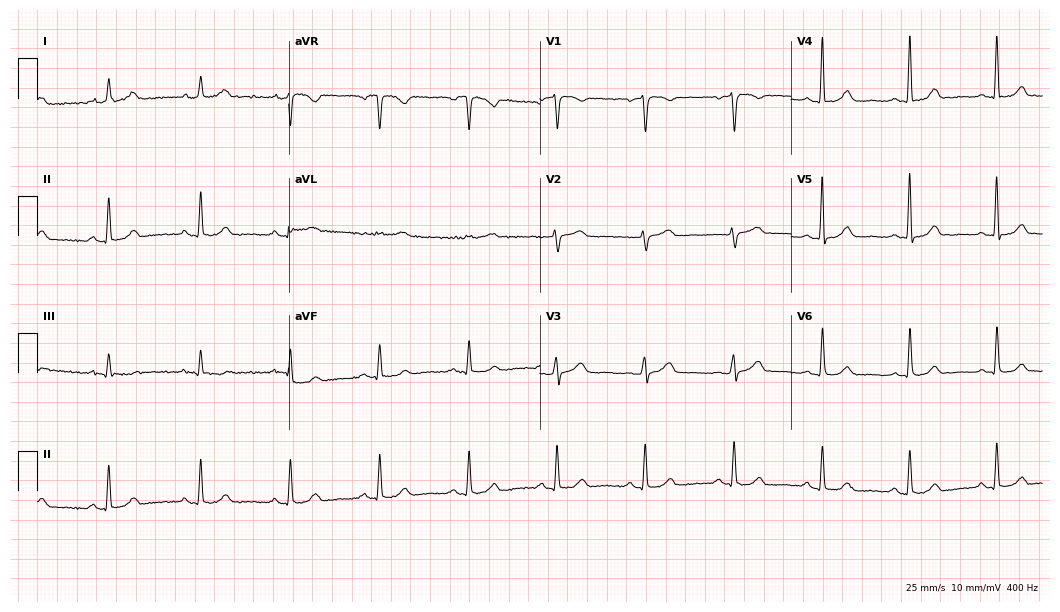
12-lead ECG from a woman, 61 years old (10.2-second recording at 400 Hz). No first-degree AV block, right bundle branch block, left bundle branch block, sinus bradycardia, atrial fibrillation or sinus tachycardia recorded for this tracing. Findings outside these six are not listed.